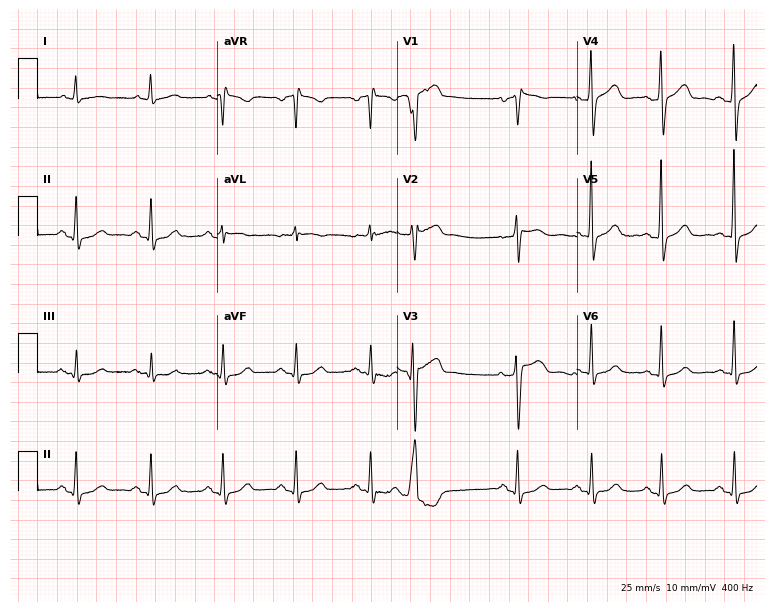
Electrocardiogram (7.3-second recording at 400 Hz), a woman, 75 years old. Of the six screened findings (first-degree AV block, right bundle branch block, left bundle branch block, sinus bradycardia, atrial fibrillation, sinus tachycardia), none is recorded. Findings outside these six are not listed.